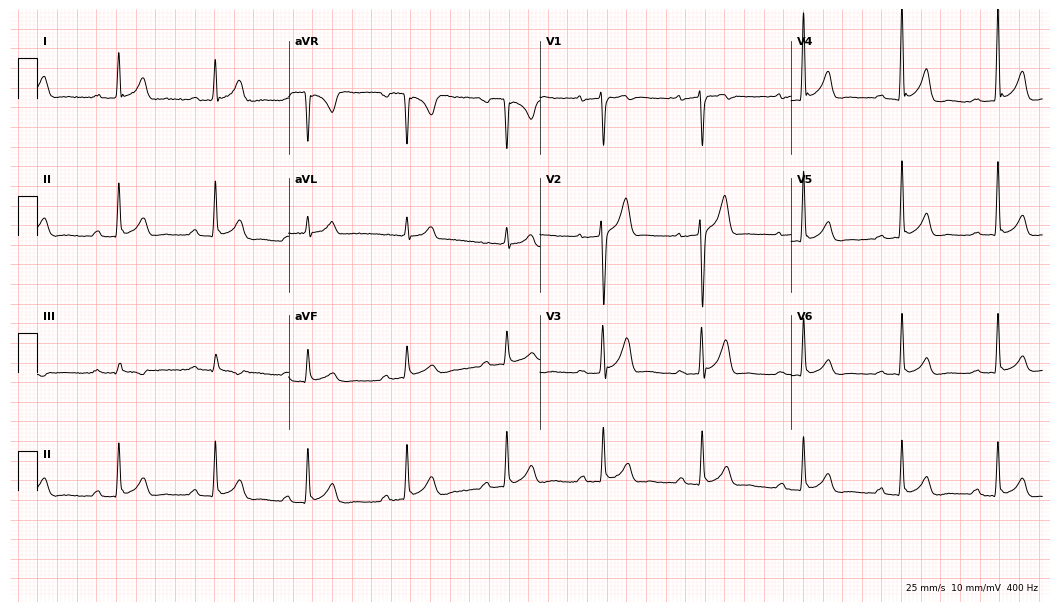
Resting 12-lead electrocardiogram (10.2-second recording at 400 Hz). Patient: a male, 47 years old. None of these six findings is recorded: first-degree AV block, right bundle branch block (RBBB), left bundle branch block (LBBB), sinus bradycardia, atrial fibrillation (AF), sinus tachycardia. Only these six findings were labelled.